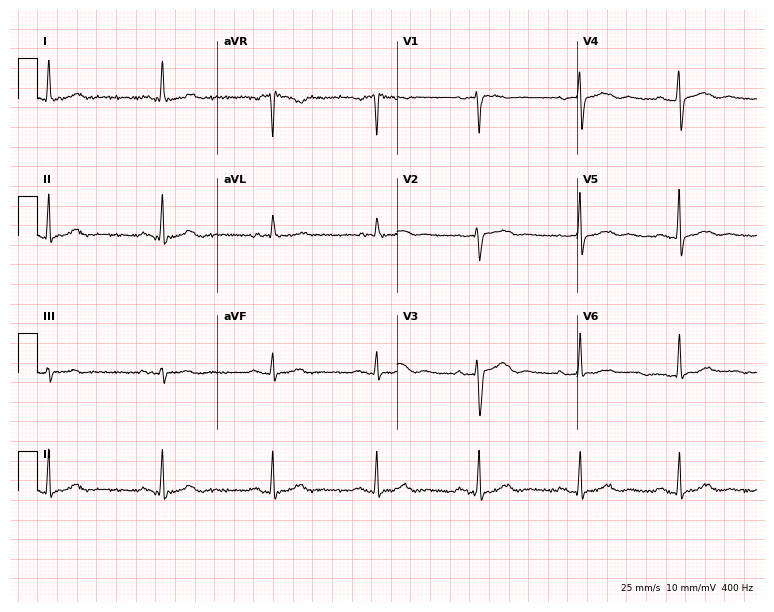
12-lead ECG from a female patient, 69 years old. Screened for six findings — first-degree AV block, right bundle branch block, left bundle branch block, sinus bradycardia, atrial fibrillation, sinus tachycardia — none is recorded. Other findings, if any, are not listed.